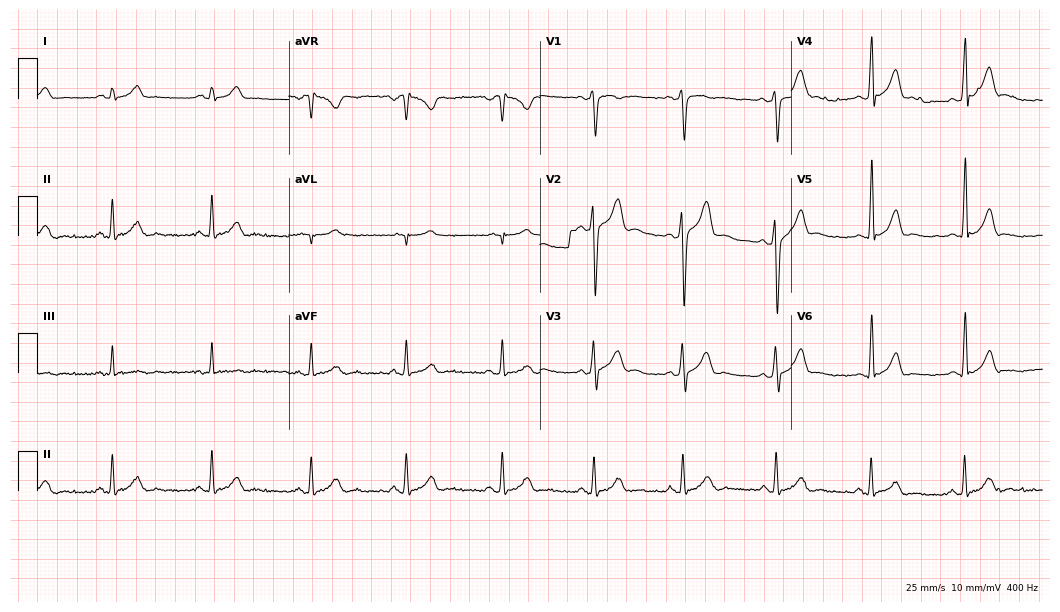
Standard 12-lead ECG recorded from a 21-year-old male patient (10.2-second recording at 400 Hz). Read as a normal ECG.